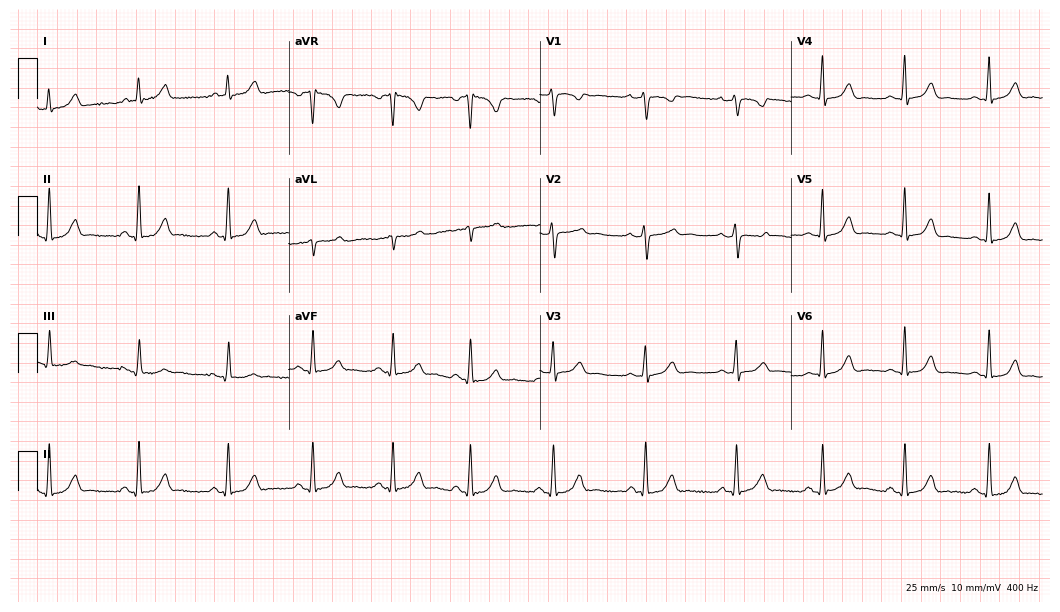
12-lead ECG (10.2-second recording at 400 Hz) from a female, 21 years old. Labelled as a normal ECG.